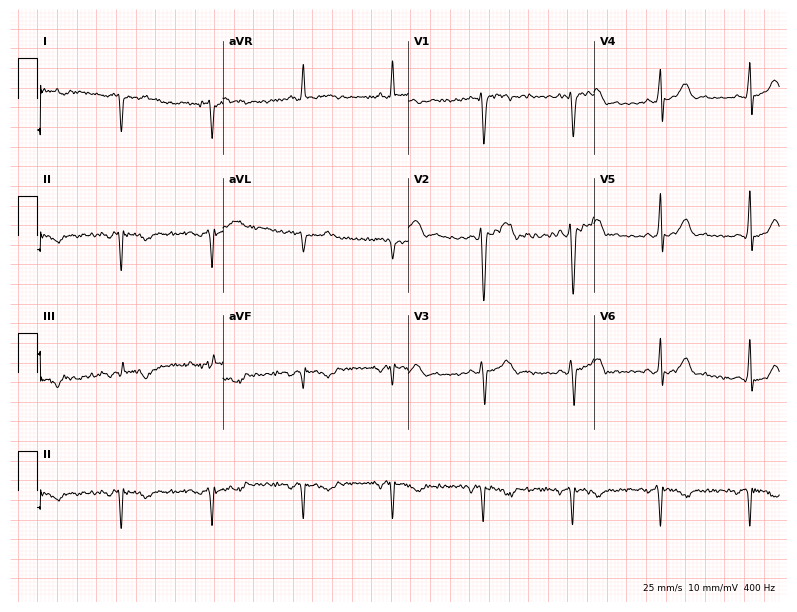
Resting 12-lead electrocardiogram (7.6-second recording at 400 Hz). Patient: a 40-year-old male. None of these six findings is recorded: first-degree AV block, right bundle branch block, left bundle branch block, sinus bradycardia, atrial fibrillation, sinus tachycardia.